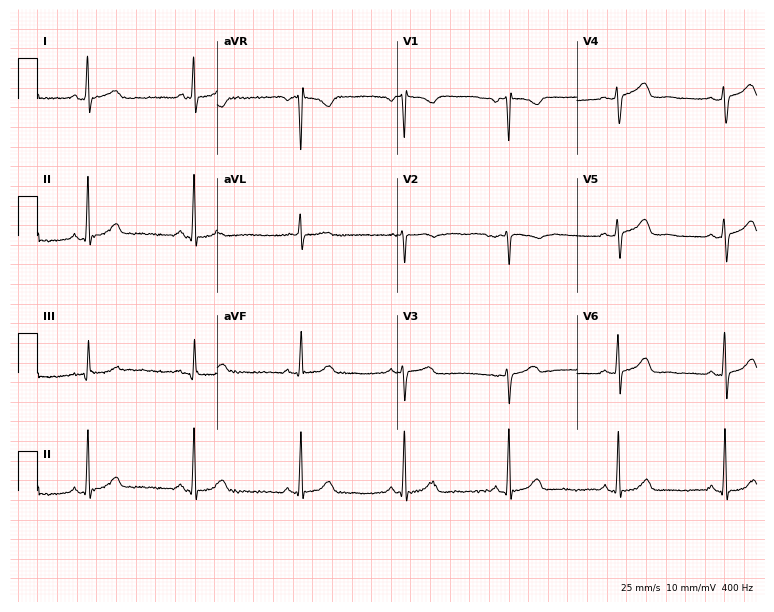
12-lead ECG (7.3-second recording at 400 Hz) from a female patient, 83 years old. Labelled as a normal ECG.